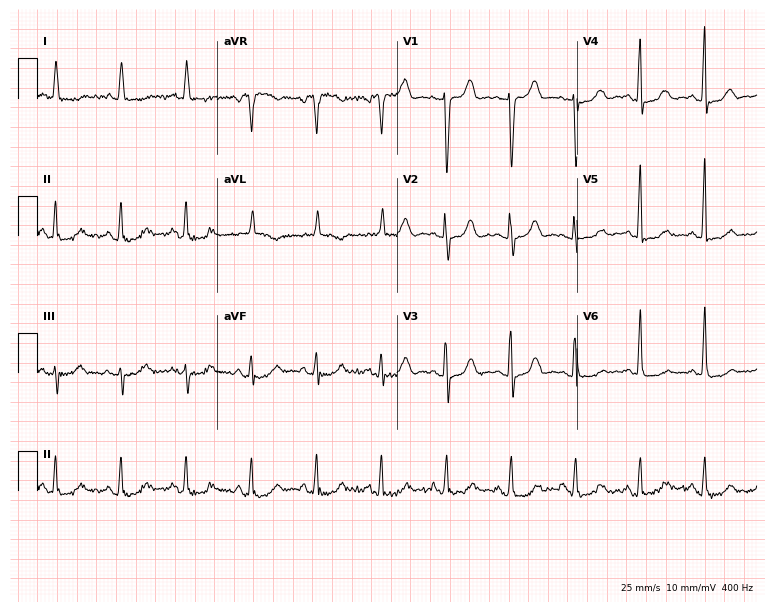
12-lead ECG (7.3-second recording at 400 Hz) from an 84-year-old female patient. Screened for six findings — first-degree AV block, right bundle branch block, left bundle branch block, sinus bradycardia, atrial fibrillation, sinus tachycardia — none is recorded.